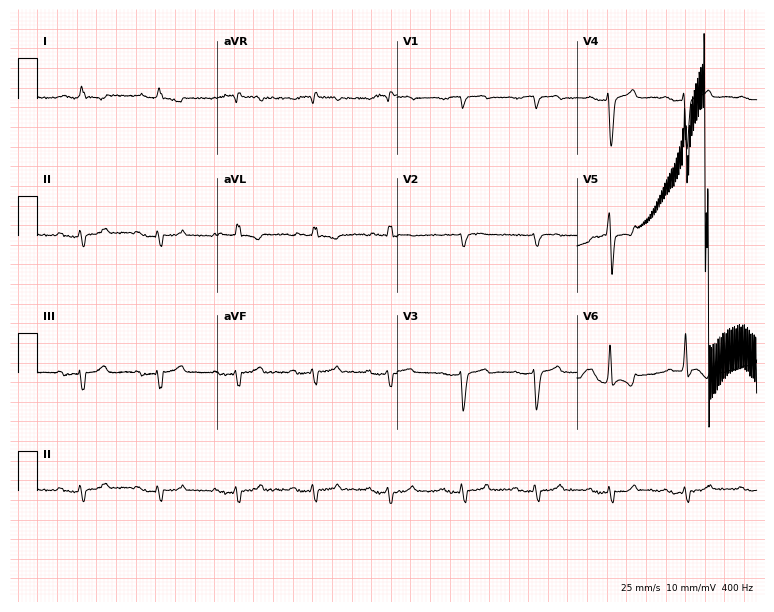
Electrocardiogram, a 69-year-old man. Interpretation includes first-degree AV block.